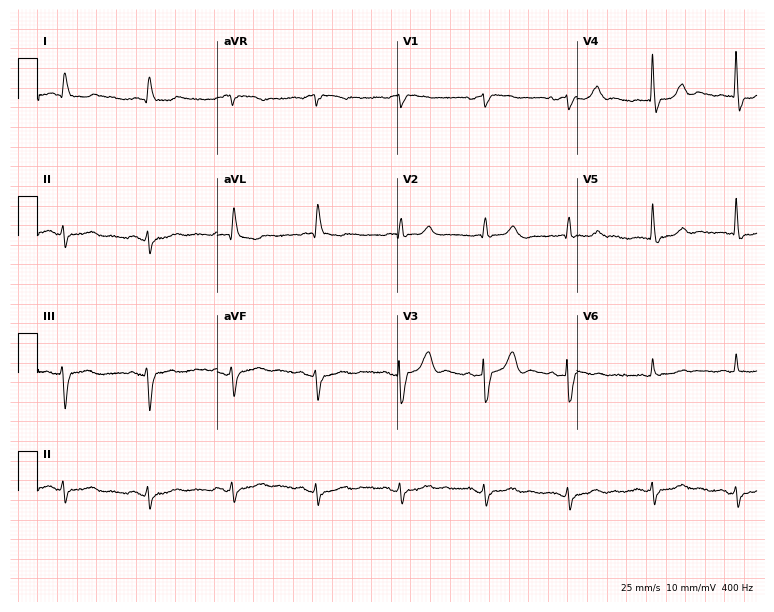
ECG — a 79-year-old man. Screened for six findings — first-degree AV block, right bundle branch block (RBBB), left bundle branch block (LBBB), sinus bradycardia, atrial fibrillation (AF), sinus tachycardia — none is recorded.